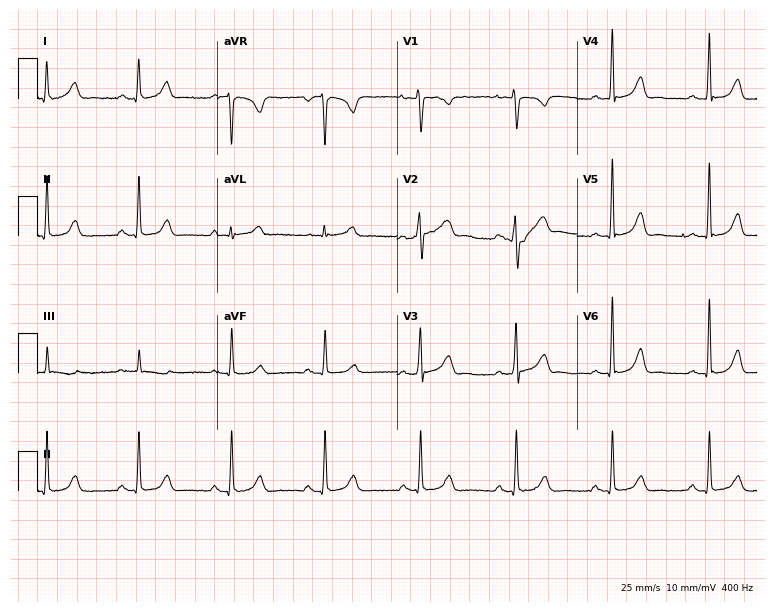
12-lead ECG from a 46-year-old male. No first-degree AV block, right bundle branch block, left bundle branch block, sinus bradycardia, atrial fibrillation or sinus tachycardia recorded for this tracing.